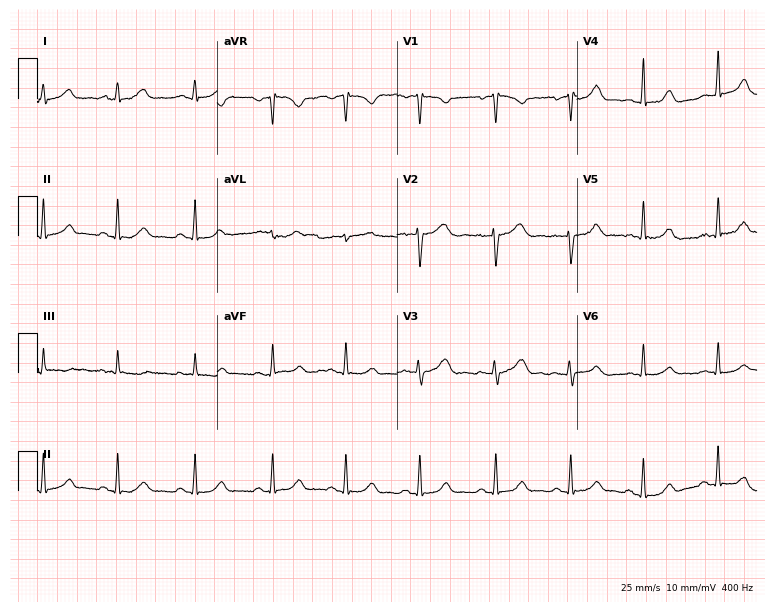
Resting 12-lead electrocardiogram. Patient: a female, 41 years old. Read as a normal ECG.